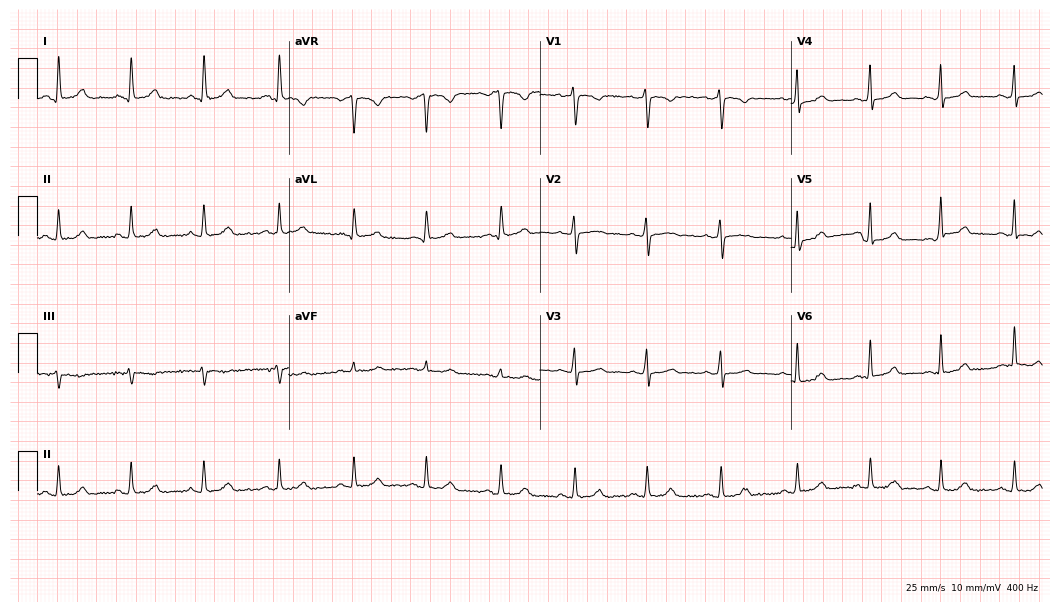
Electrocardiogram (10.2-second recording at 400 Hz), a 36-year-old woman. Of the six screened findings (first-degree AV block, right bundle branch block, left bundle branch block, sinus bradycardia, atrial fibrillation, sinus tachycardia), none is recorded. Only these six findings were labelled.